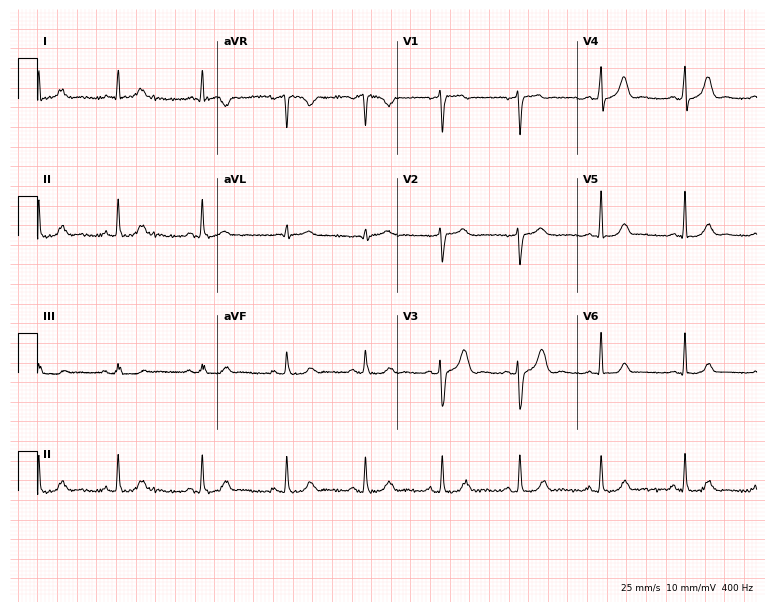
ECG (7.3-second recording at 400 Hz) — a 37-year-old woman. Labelled as a normal ECG.